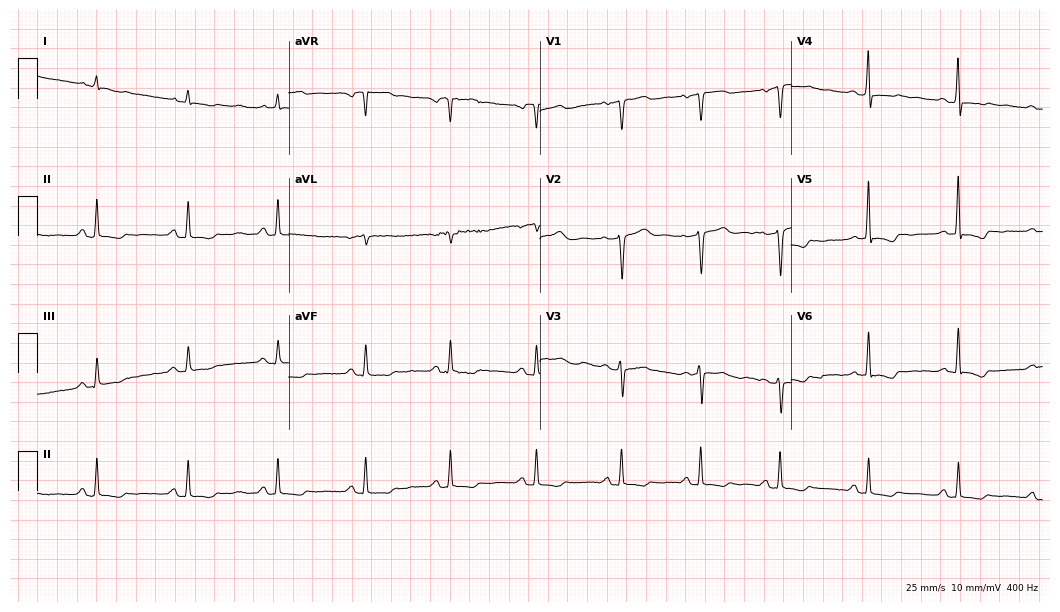
12-lead ECG from a 49-year-old female. Screened for six findings — first-degree AV block, right bundle branch block, left bundle branch block, sinus bradycardia, atrial fibrillation, sinus tachycardia — none is recorded.